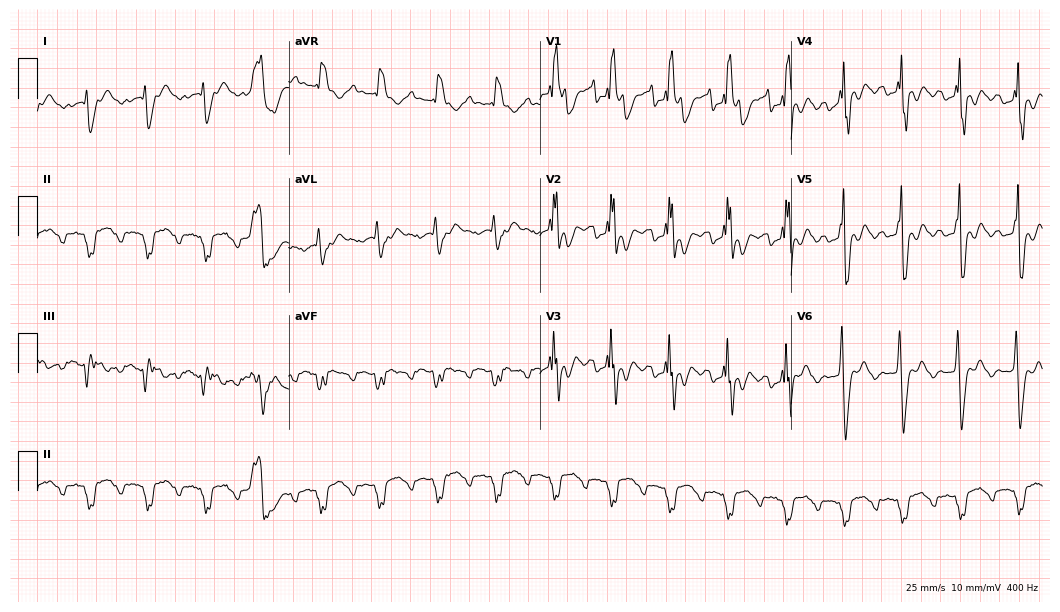
ECG — a 59-year-old male patient. Screened for six findings — first-degree AV block, right bundle branch block (RBBB), left bundle branch block (LBBB), sinus bradycardia, atrial fibrillation (AF), sinus tachycardia — none is recorded.